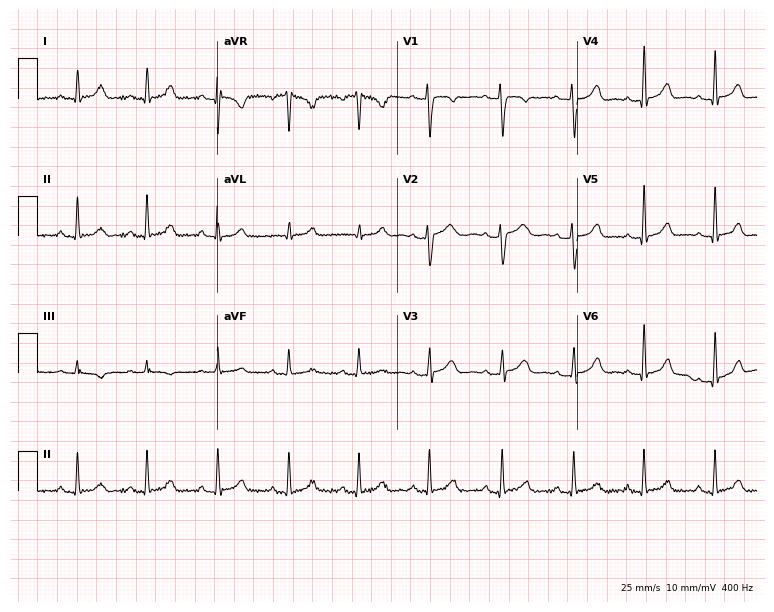
12-lead ECG from a 26-year-old female patient. Labelled as a normal ECG.